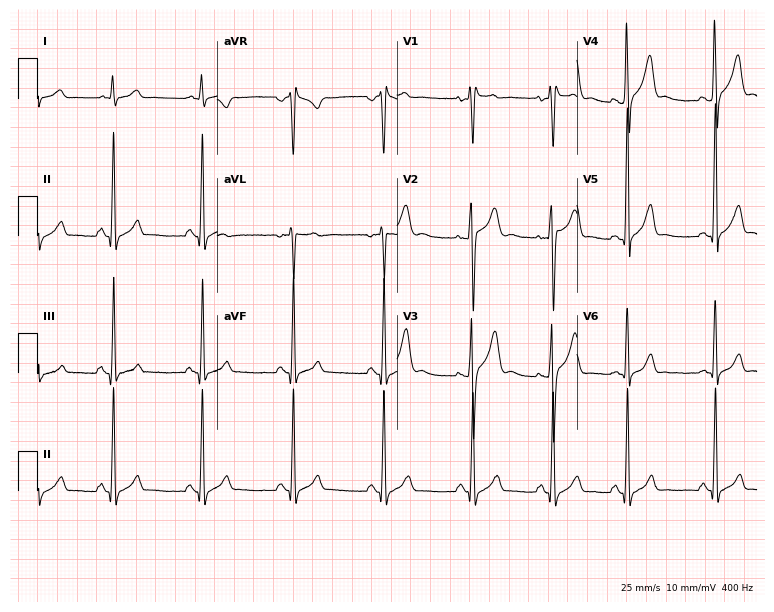
ECG — an 18-year-old male. Labelled as a normal ECG.